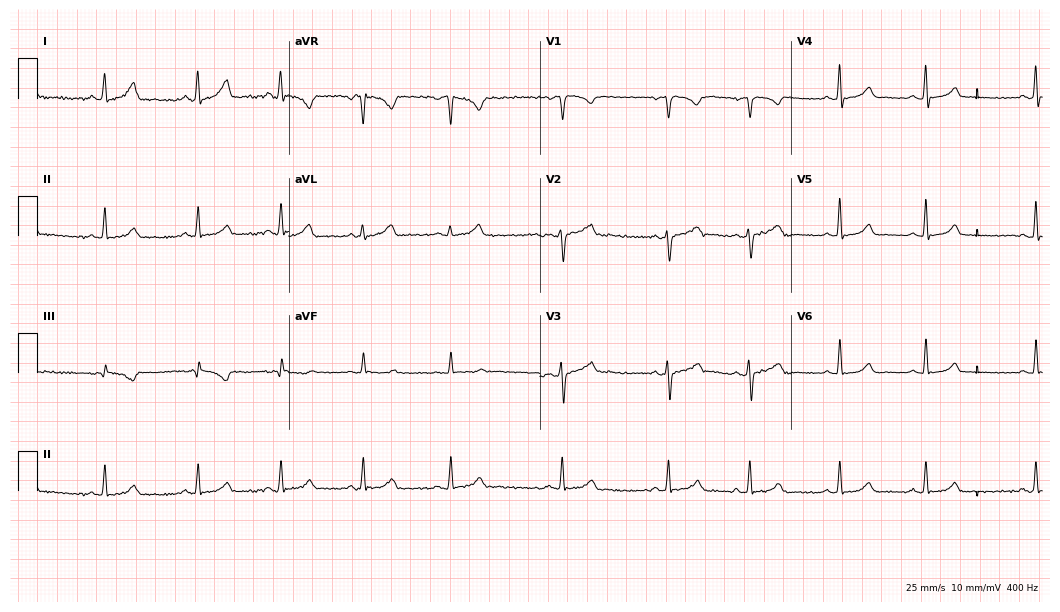
12-lead ECG from a woman, 27 years old. Labelled as a normal ECG.